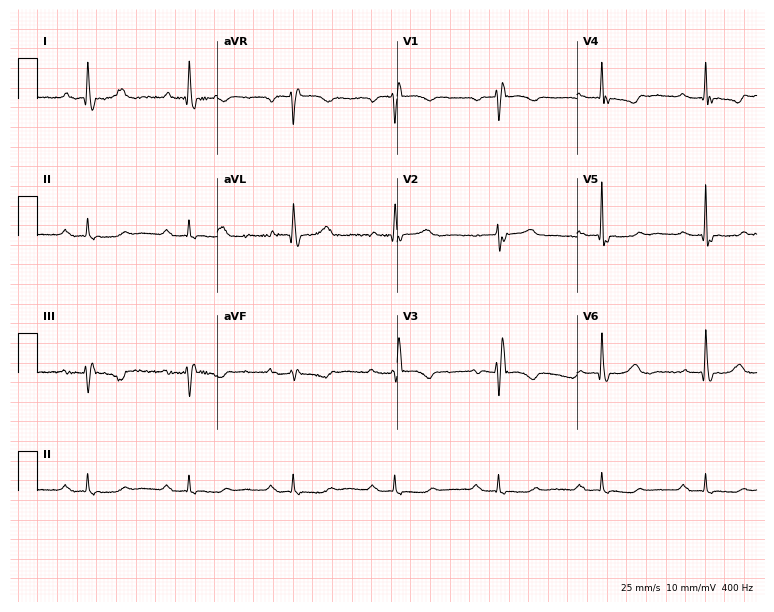
Standard 12-lead ECG recorded from an 85-year-old woman. The tracing shows first-degree AV block, right bundle branch block.